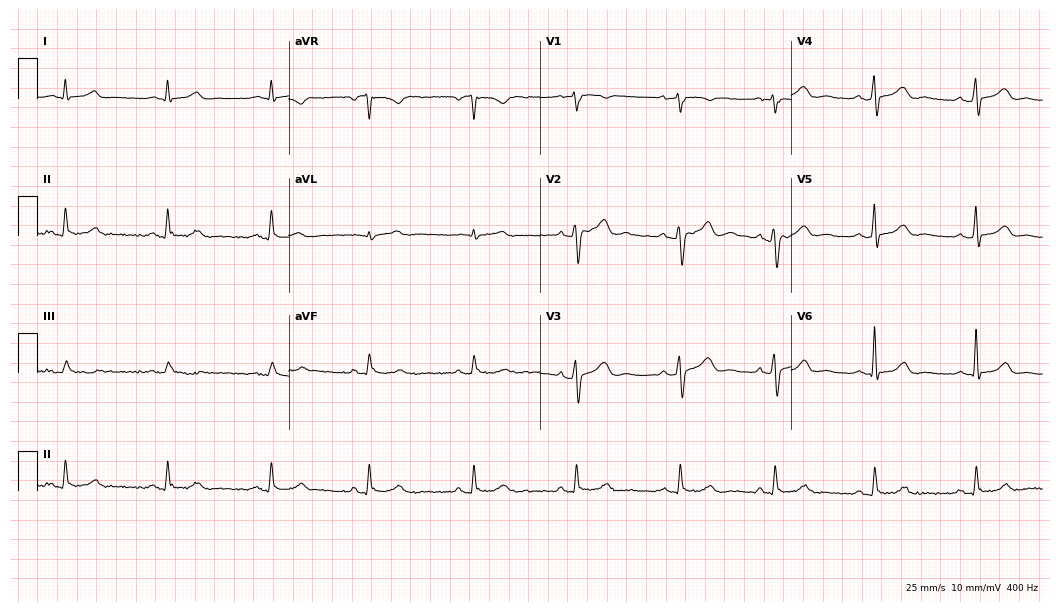
ECG — a man, 66 years old. Labelled as a normal ECG.